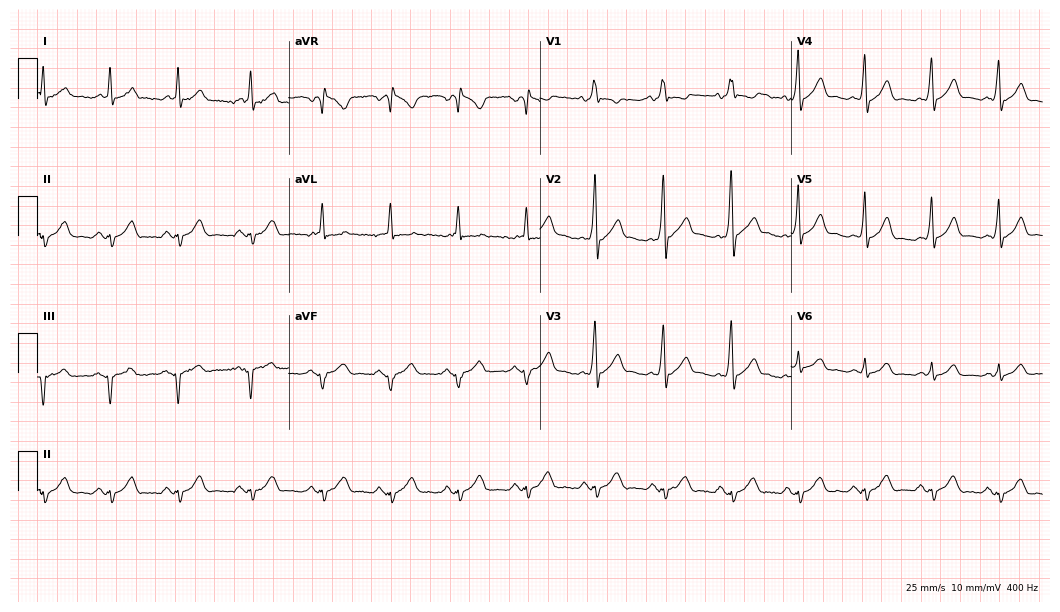
12-lead ECG from a male patient, 50 years old (10.2-second recording at 400 Hz). No first-degree AV block, right bundle branch block (RBBB), left bundle branch block (LBBB), sinus bradycardia, atrial fibrillation (AF) or sinus tachycardia recorded for this tracing.